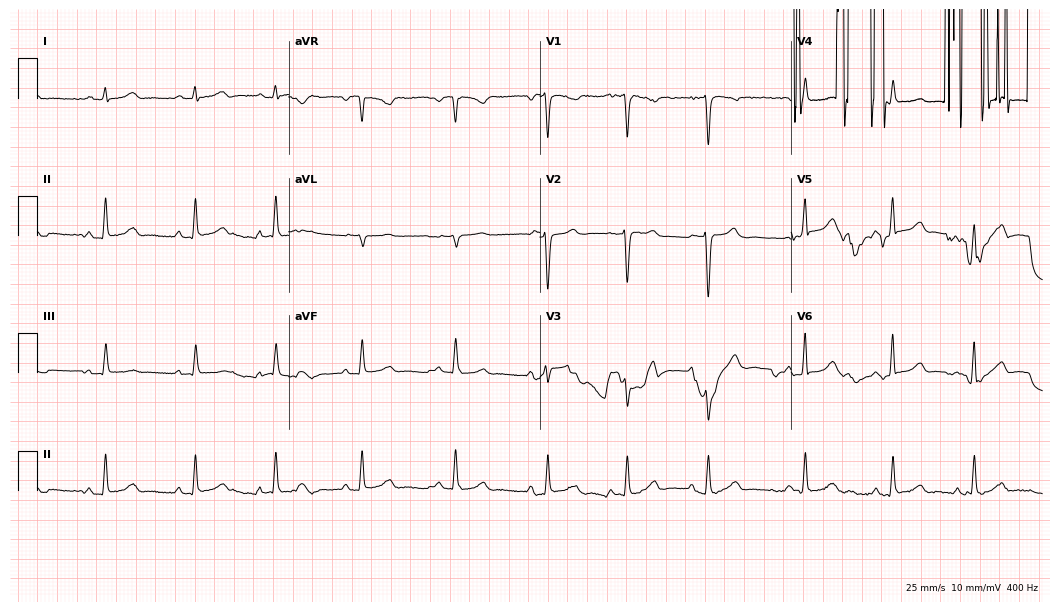
12-lead ECG from a female, 43 years old (10.2-second recording at 400 Hz). No first-degree AV block, right bundle branch block, left bundle branch block, sinus bradycardia, atrial fibrillation or sinus tachycardia recorded for this tracing. Only these six findings were labelled.